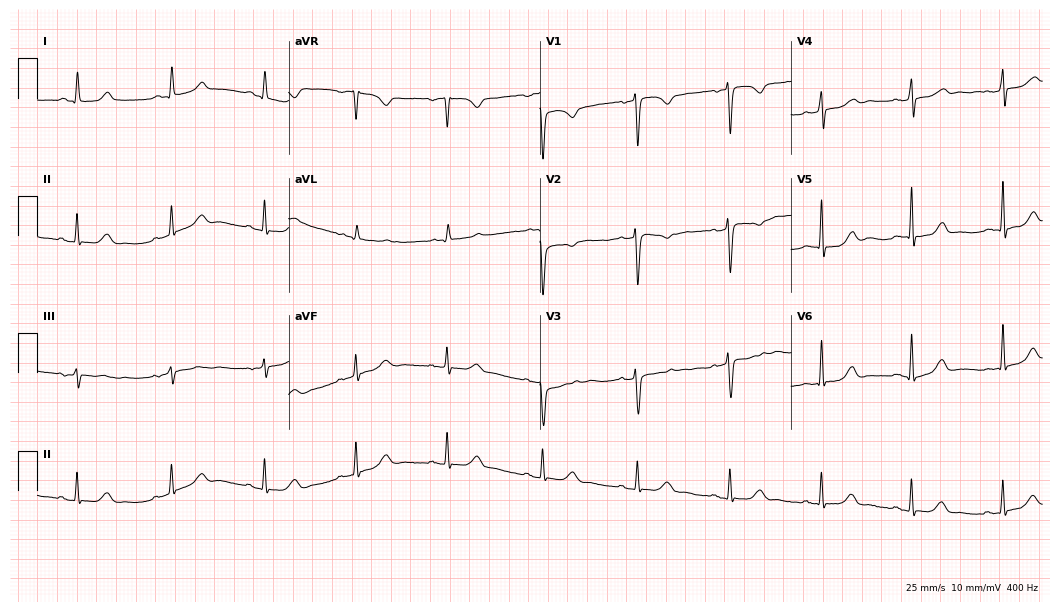
Resting 12-lead electrocardiogram (10.2-second recording at 400 Hz). Patient: a woman, 55 years old. Read as a normal ECG.